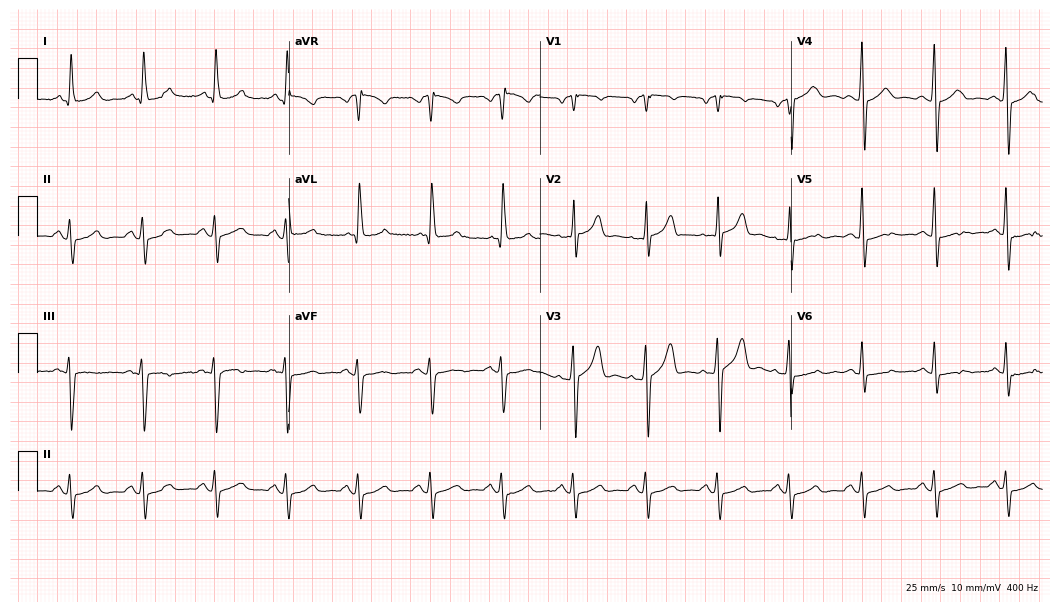
Electrocardiogram (10.2-second recording at 400 Hz), a 65-year-old male patient. Of the six screened findings (first-degree AV block, right bundle branch block, left bundle branch block, sinus bradycardia, atrial fibrillation, sinus tachycardia), none is recorded. Other findings, if any, are not listed.